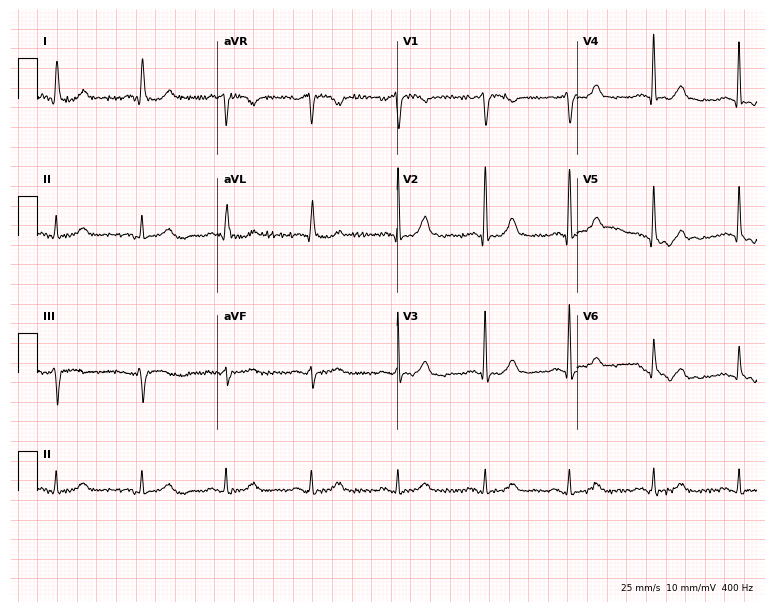
ECG (7.3-second recording at 400 Hz) — a female, 66 years old. Labelled as a normal ECG.